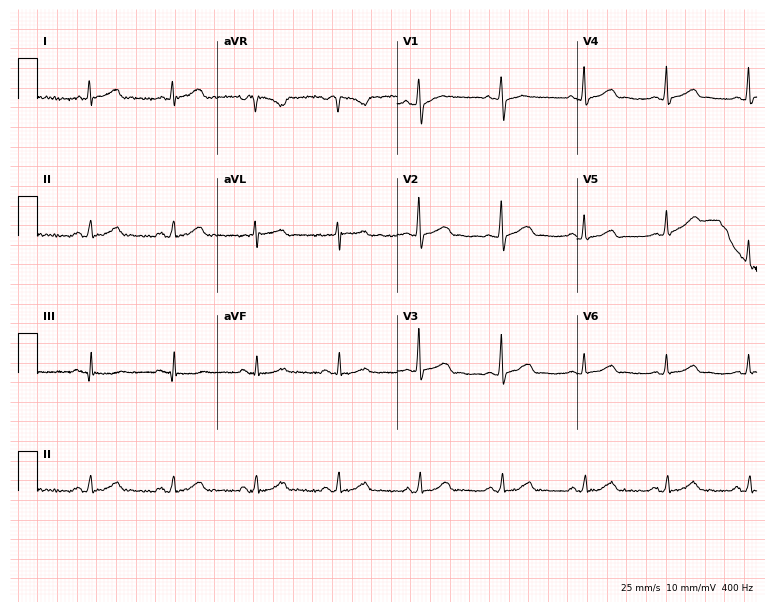
Resting 12-lead electrocardiogram (7.3-second recording at 400 Hz). Patient: an 82-year-old female. Read as a normal ECG.